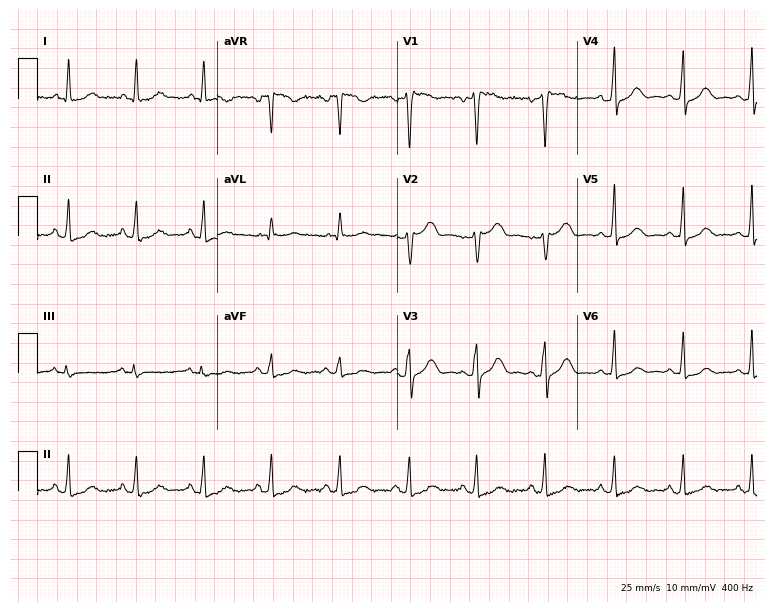
12-lead ECG from a female patient, 52 years old (7.3-second recording at 400 Hz). No first-degree AV block, right bundle branch block, left bundle branch block, sinus bradycardia, atrial fibrillation or sinus tachycardia recorded for this tracing.